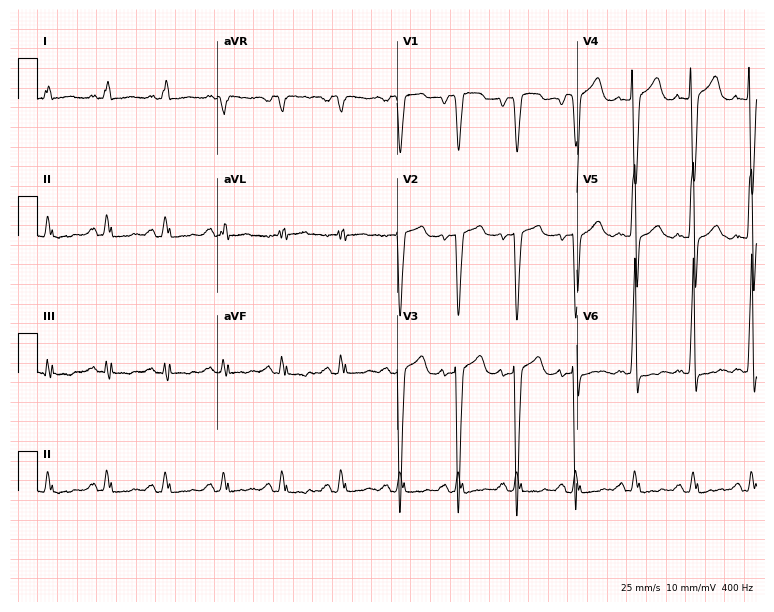
Electrocardiogram, a 50-year-old male. Interpretation includes sinus tachycardia (a sinus rate of 100 beats per minute or more).